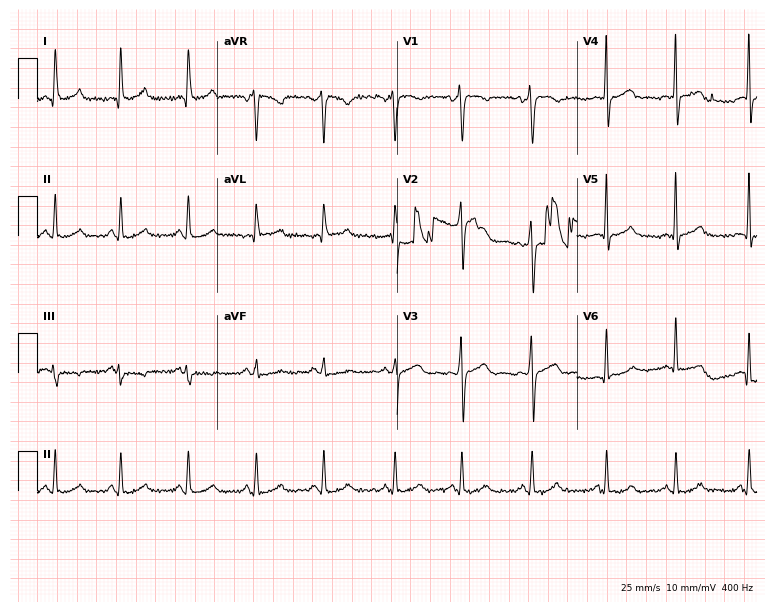
12-lead ECG from a 29-year-old woman. Recorded interpretation: within normal limits.